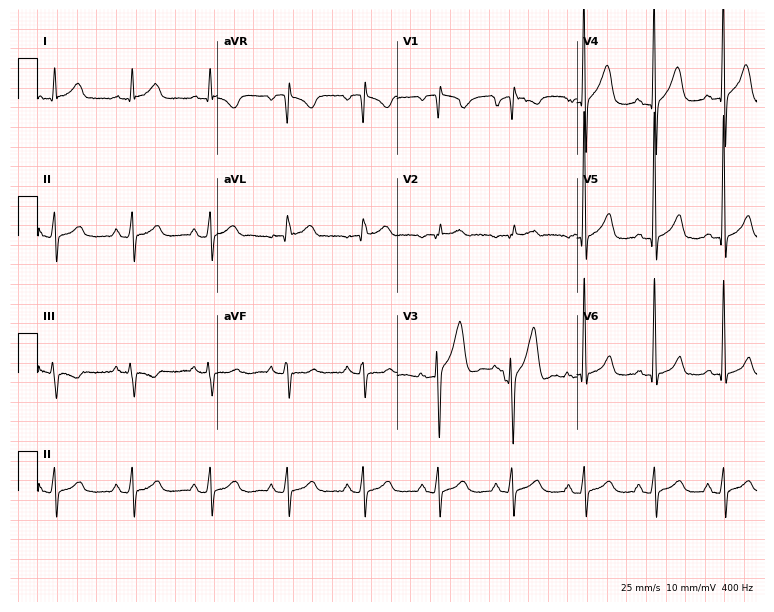
Resting 12-lead electrocardiogram. Patient: a 78-year-old man. None of these six findings is recorded: first-degree AV block, right bundle branch block, left bundle branch block, sinus bradycardia, atrial fibrillation, sinus tachycardia. Findings outside these six are not listed.